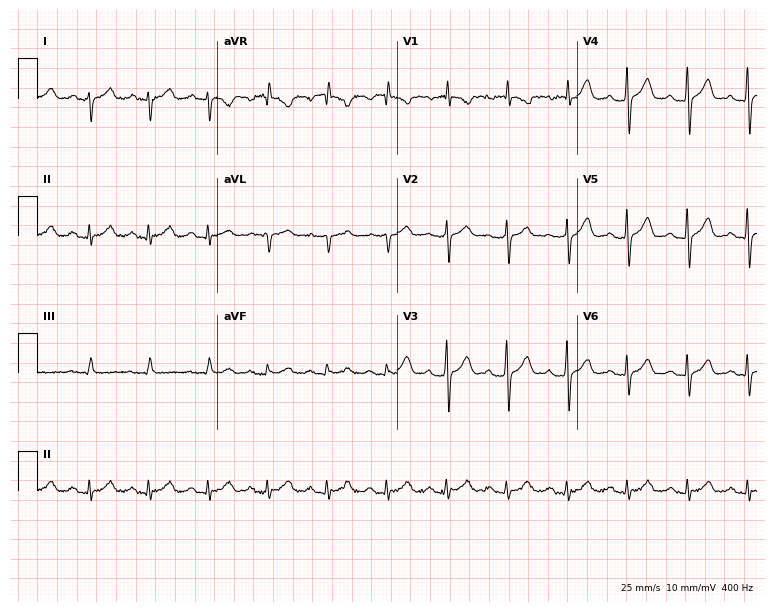
12-lead ECG from a 70-year-old man (7.3-second recording at 400 Hz). No first-degree AV block, right bundle branch block, left bundle branch block, sinus bradycardia, atrial fibrillation or sinus tachycardia recorded for this tracing. Other findings, if any, are not listed.